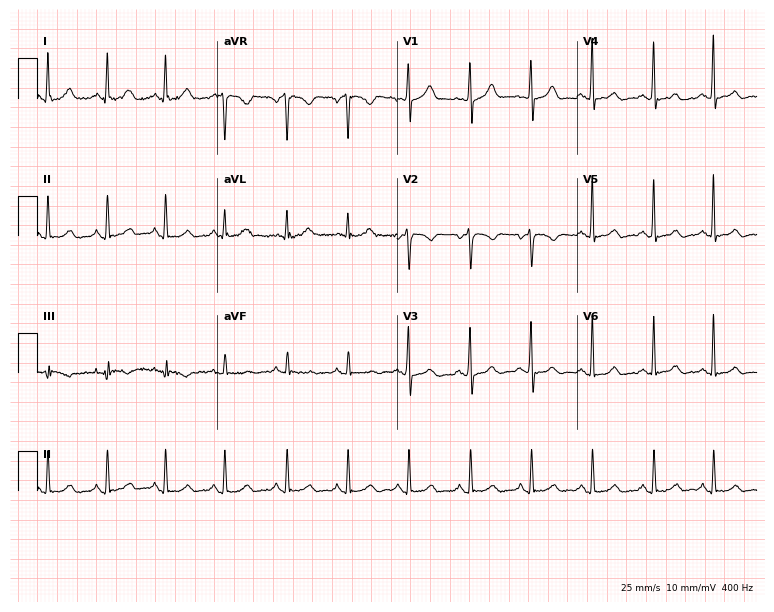
12-lead ECG from a 32-year-old female. Recorded interpretation: within normal limits.